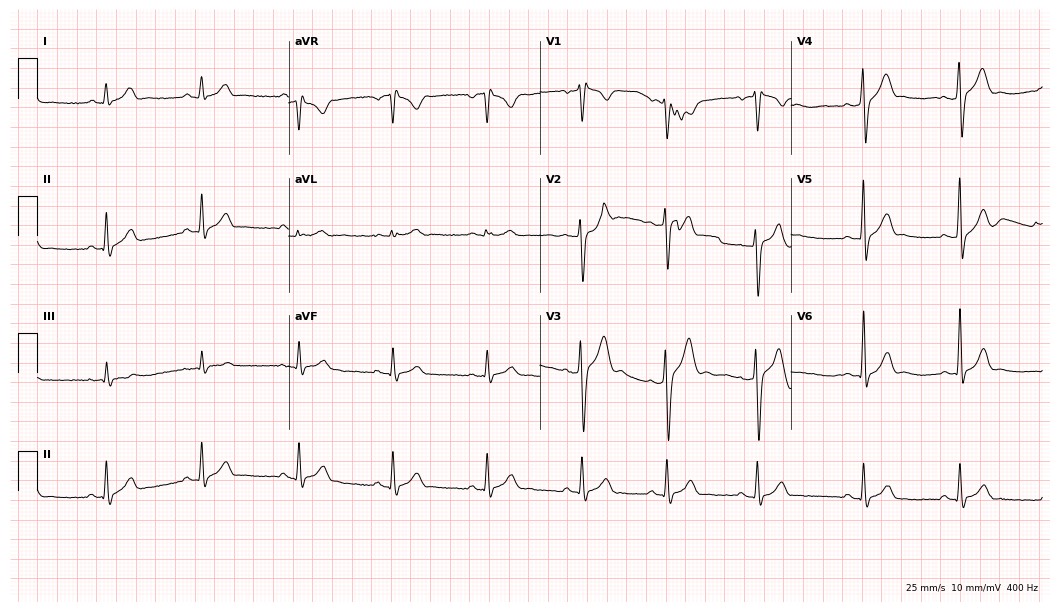
12-lead ECG (10.2-second recording at 400 Hz) from a man, 22 years old. Screened for six findings — first-degree AV block, right bundle branch block, left bundle branch block, sinus bradycardia, atrial fibrillation, sinus tachycardia — none is recorded. Only these six findings were labelled.